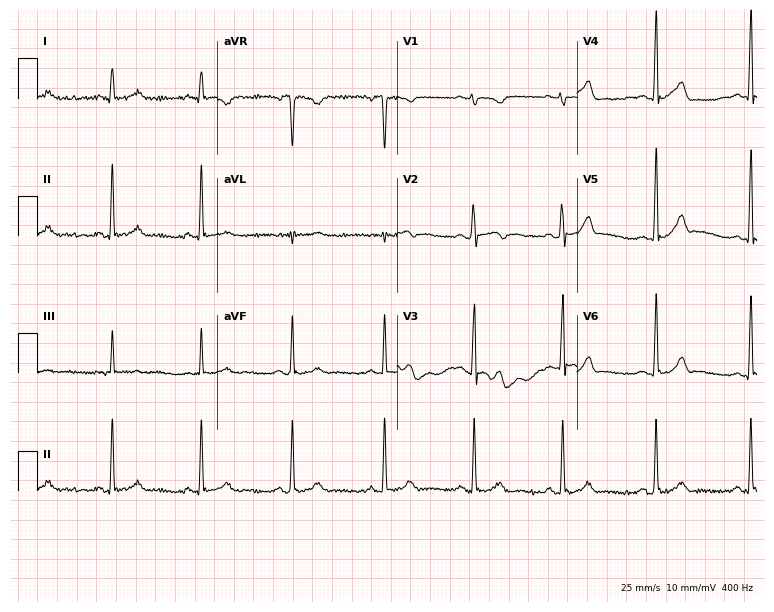
12-lead ECG from a 22-year-old female. Recorded interpretation: within normal limits.